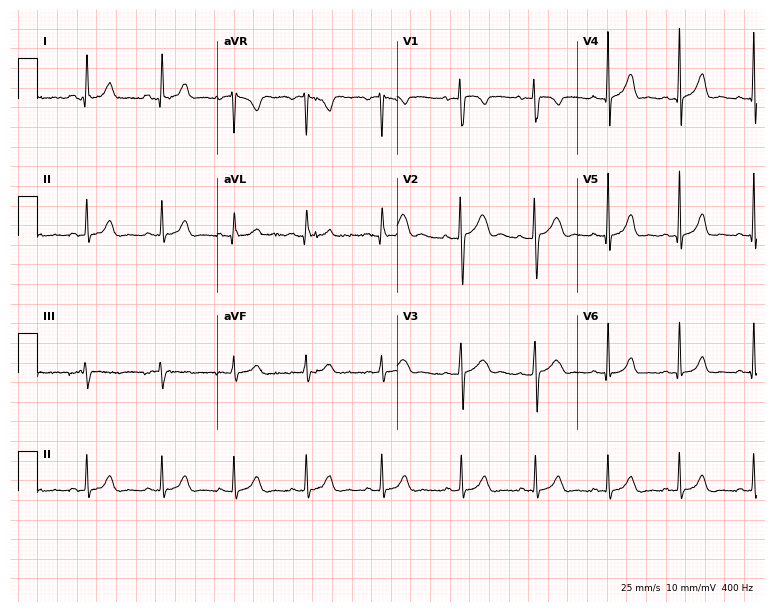
12-lead ECG from a female patient, 19 years old (7.3-second recording at 400 Hz). Recorded interpretation: within normal limits.